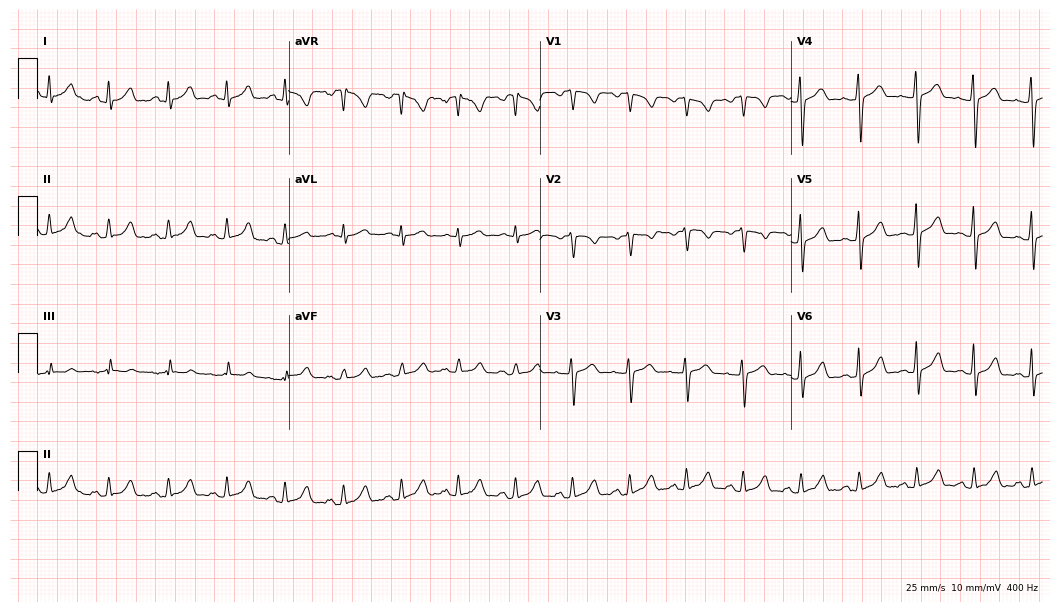
Resting 12-lead electrocardiogram. Patient: a 31-year-old female. The tracing shows sinus tachycardia (a sinus rate of 100 beats per minute or more).